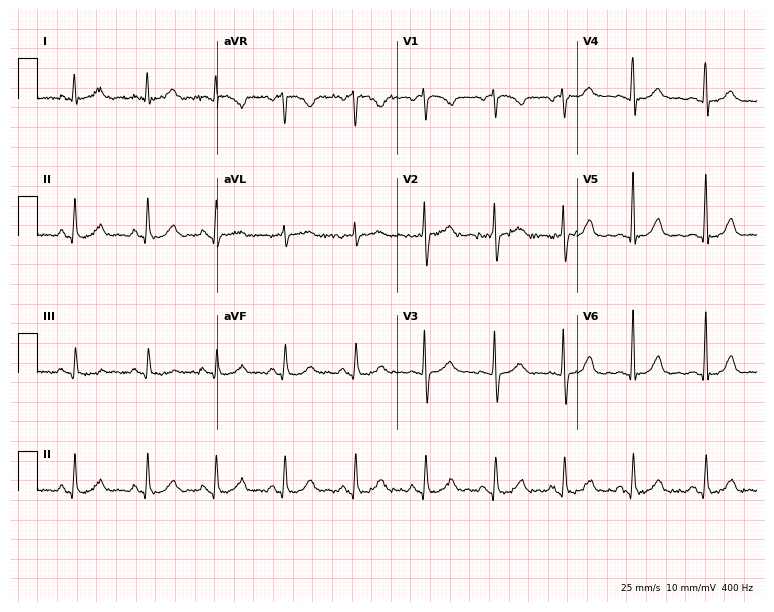
Resting 12-lead electrocardiogram (7.3-second recording at 400 Hz). Patient: a woman, 59 years old. Read as a normal ECG.